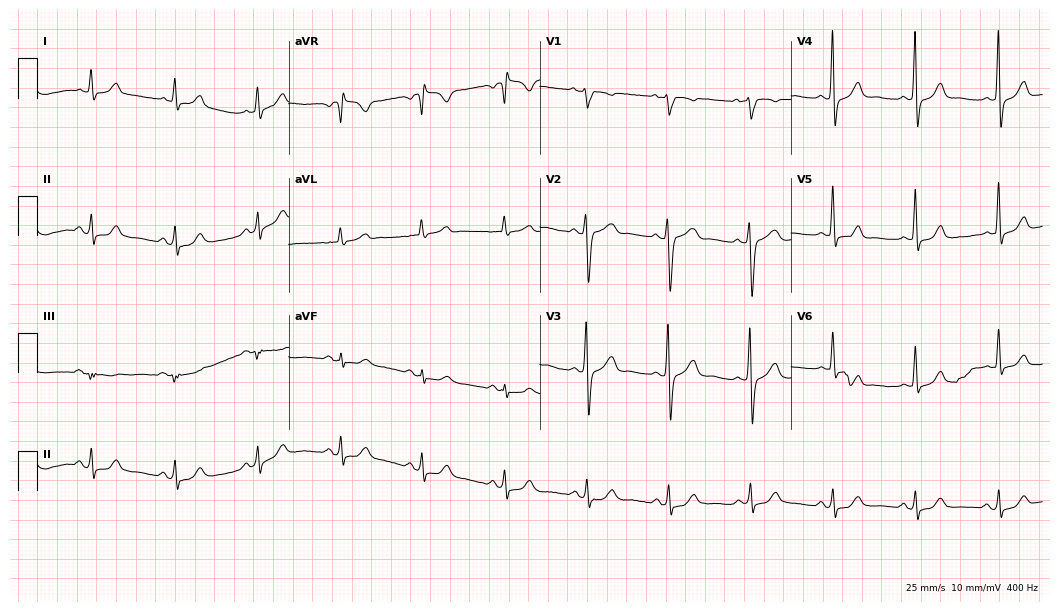
ECG — a 62-year-old male patient. Screened for six findings — first-degree AV block, right bundle branch block (RBBB), left bundle branch block (LBBB), sinus bradycardia, atrial fibrillation (AF), sinus tachycardia — none is recorded.